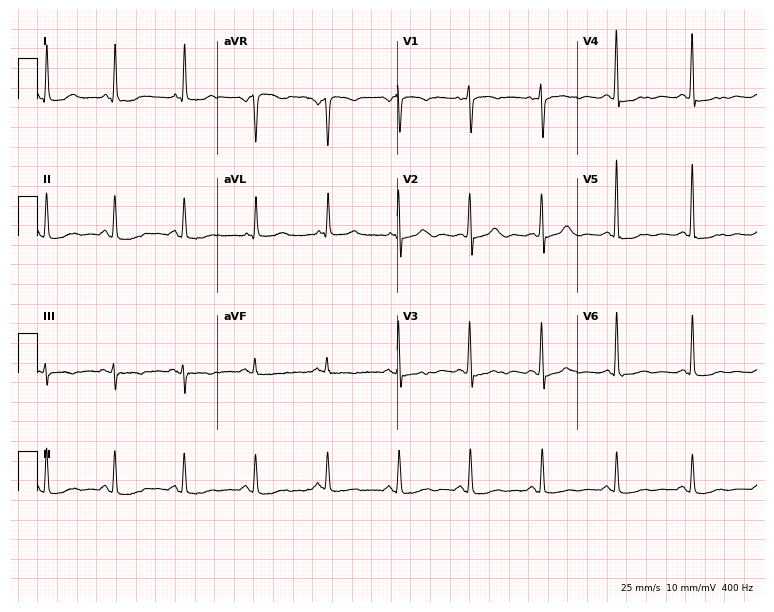
Resting 12-lead electrocardiogram. Patient: an 80-year-old woman. None of these six findings is recorded: first-degree AV block, right bundle branch block (RBBB), left bundle branch block (LBBB), sinus bradycardia, atrial fibrillation (AF), sinus tachycardia.